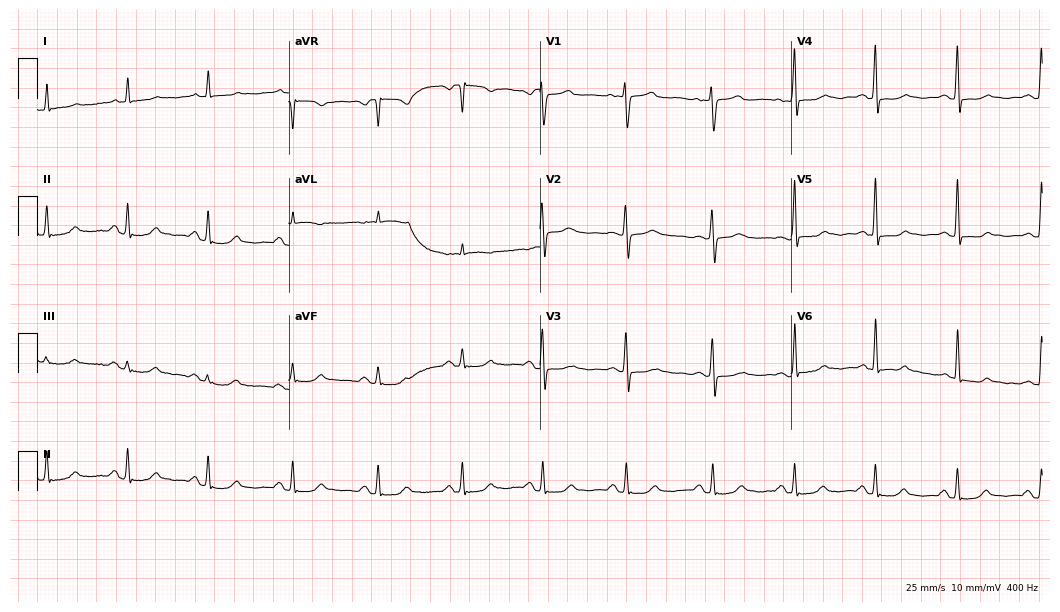
12-lead ECG from a female patient, 62 years old. No first-degree AV block, right bundle branch block, left bundle branch block, sinus bradycardia, atrial fibrillation or sinus tachycardia recorded for this tracing. Findings outside these six are not listed.